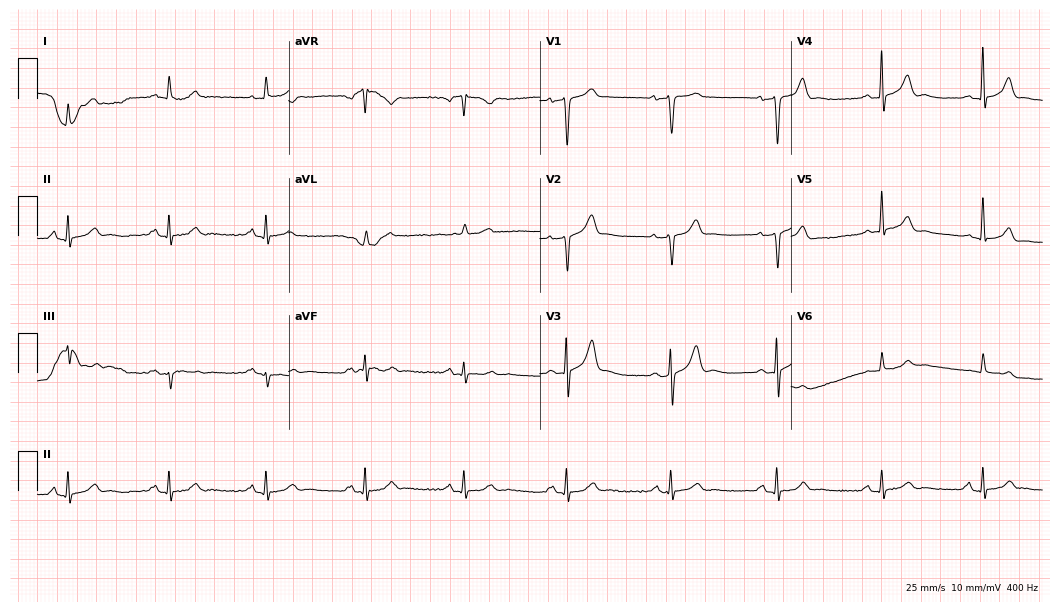
12-lead ECG (10.2-second recording at 400 Hz) from a male patient, 79 years old. Labelled as a normal ECG.